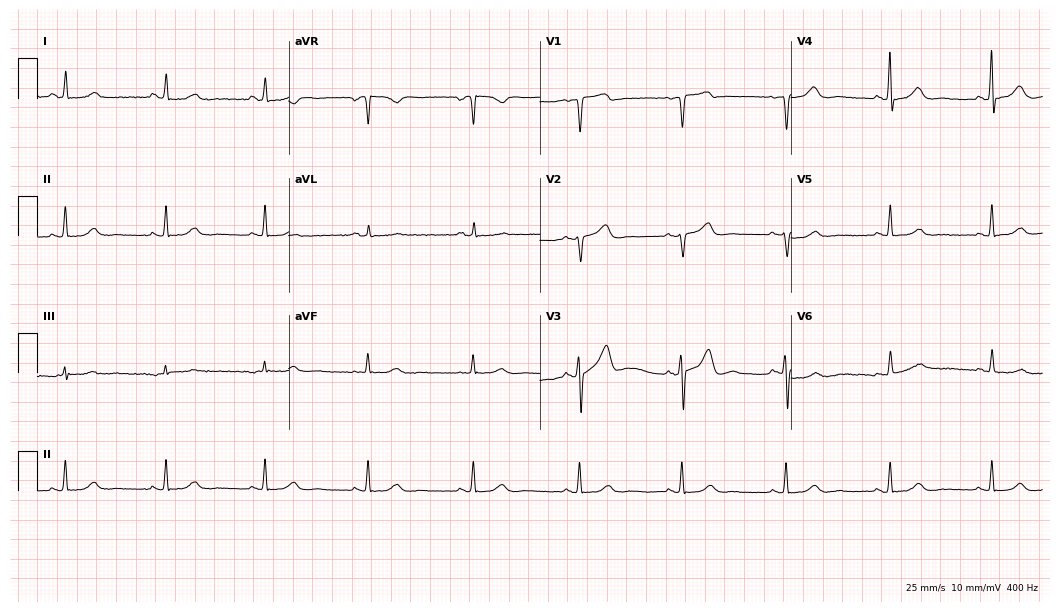
Electrocardiogram, a woman, 51 years old. Overall reading on record: normal ECG.